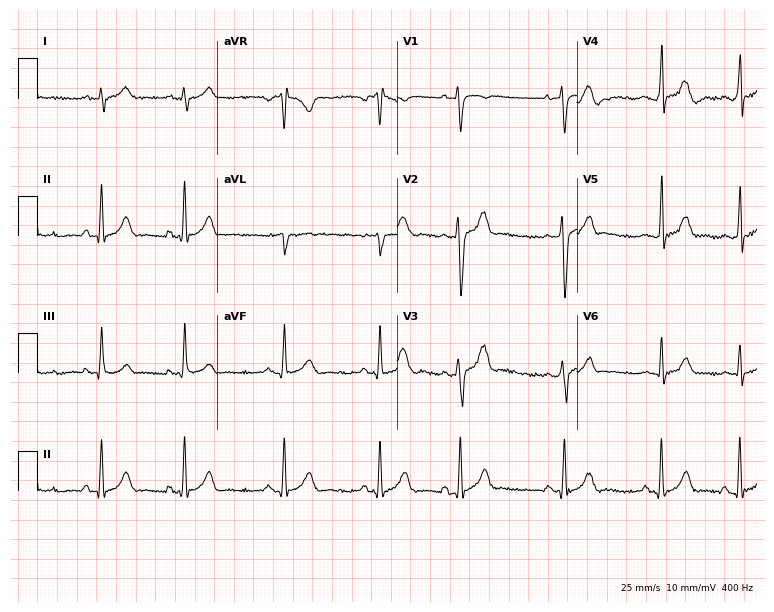
12-lead ECG from a male patient, 17 years old. Labelled as a normal ECG.